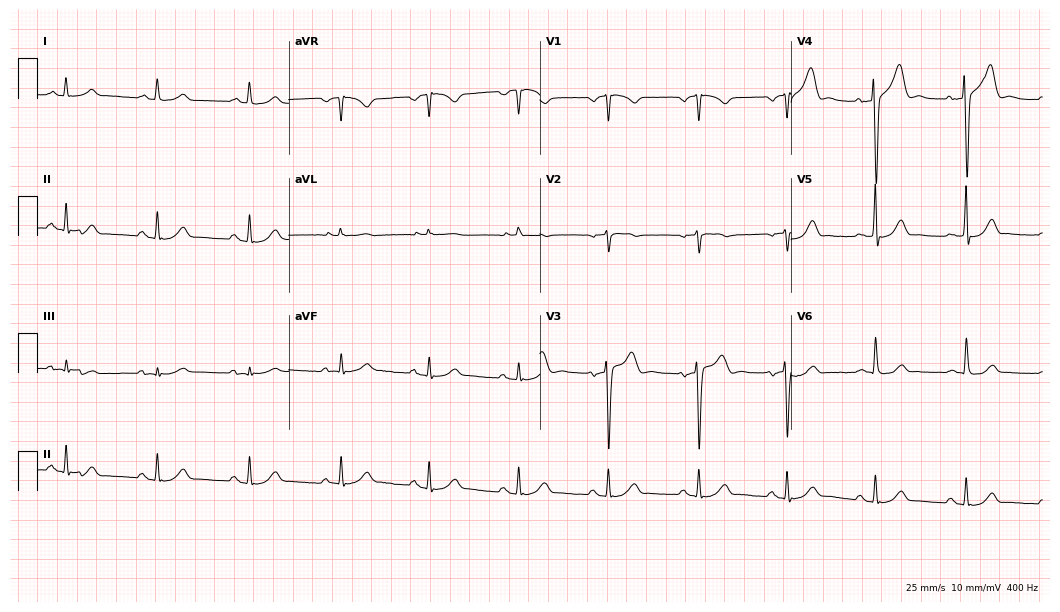
Electrocardiogram (10.2-second recording at 400 Hz), a male patient, 44 years old. Overall reading on record: normal ECG.